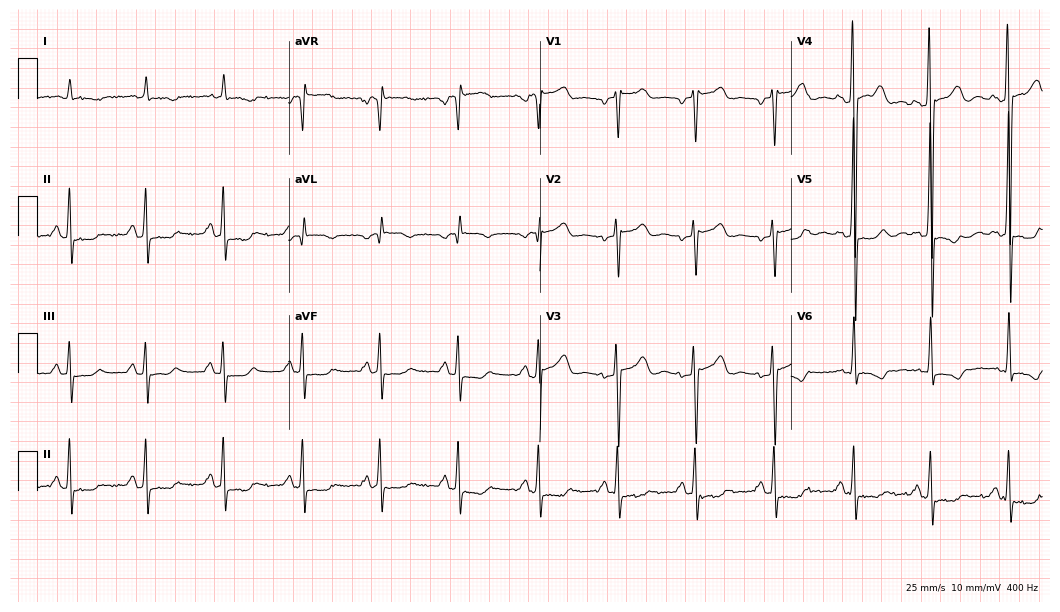
12-lead ECG (10.2-second recording at 400 Hz) from a male patient, 81 years old. Screened for six findings — first-degree AV block, right bundle branch block, left bundle branch block, sinus bradycardia, atrial fibrillation, sinus tachycardia — none is recorded. Findings outside these six are not listed.